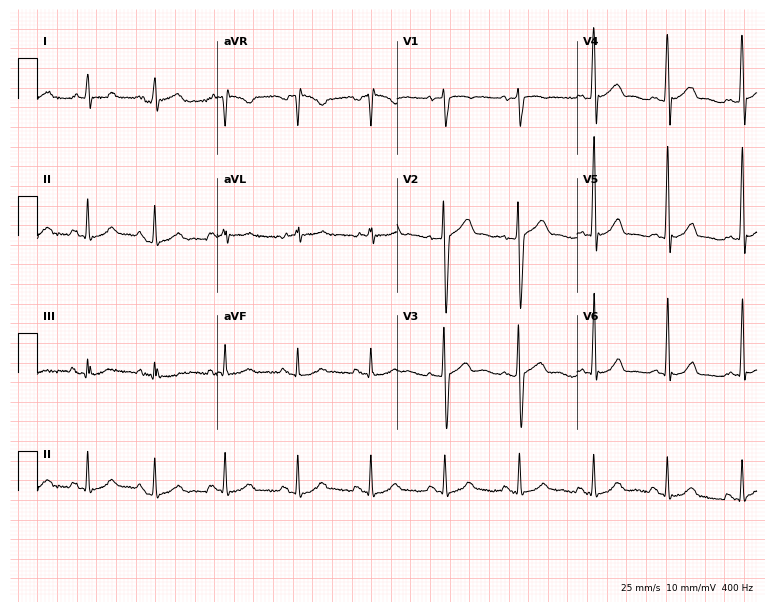
Electrocardiogram (7.3-second recording at 400 Hz), a male, 41 years old. Overall reading on record: normal ECG.